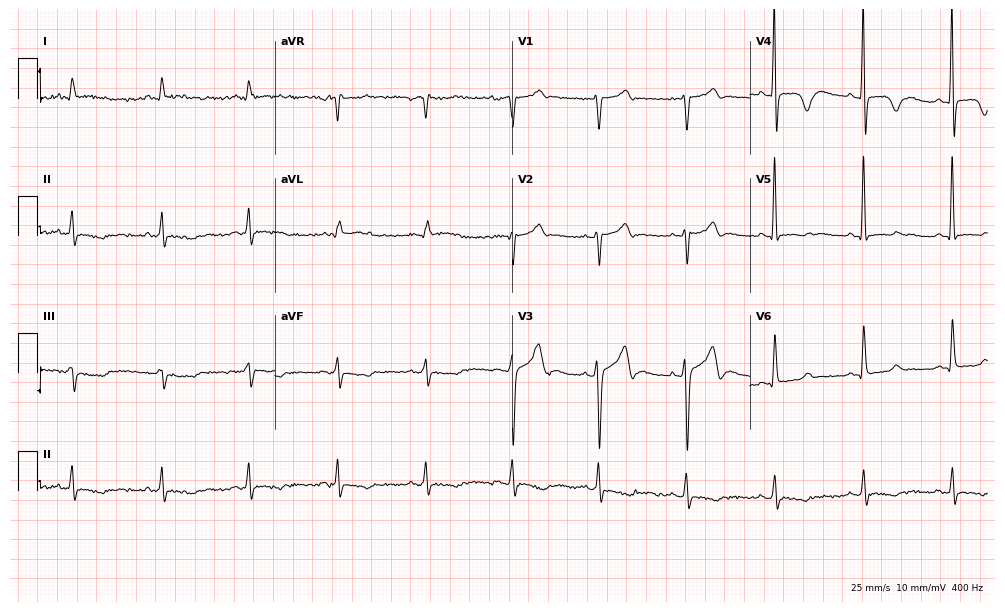
12-lead ECG from a male, 56 years old. No first-degree AV block, right bundle branch block (RBBB), left bundle branch block (LBBB), sinus bradycardia, atrial fibrillation (AF) or sinus tachycardia recorded for this tracing.